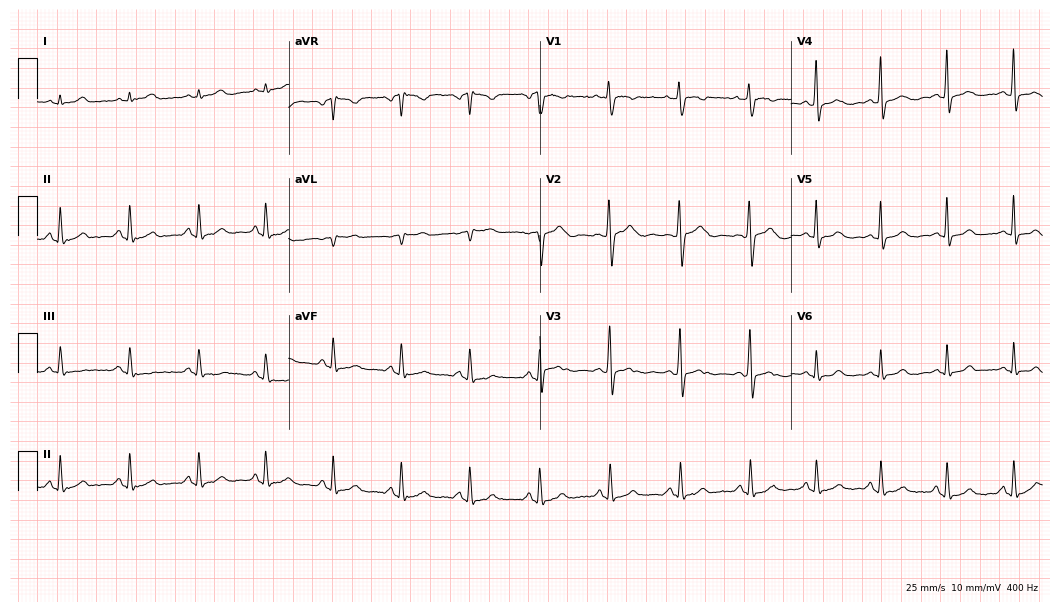
12-lead ECG from a female patient, 32 years old. Labelled as a normal ECG.